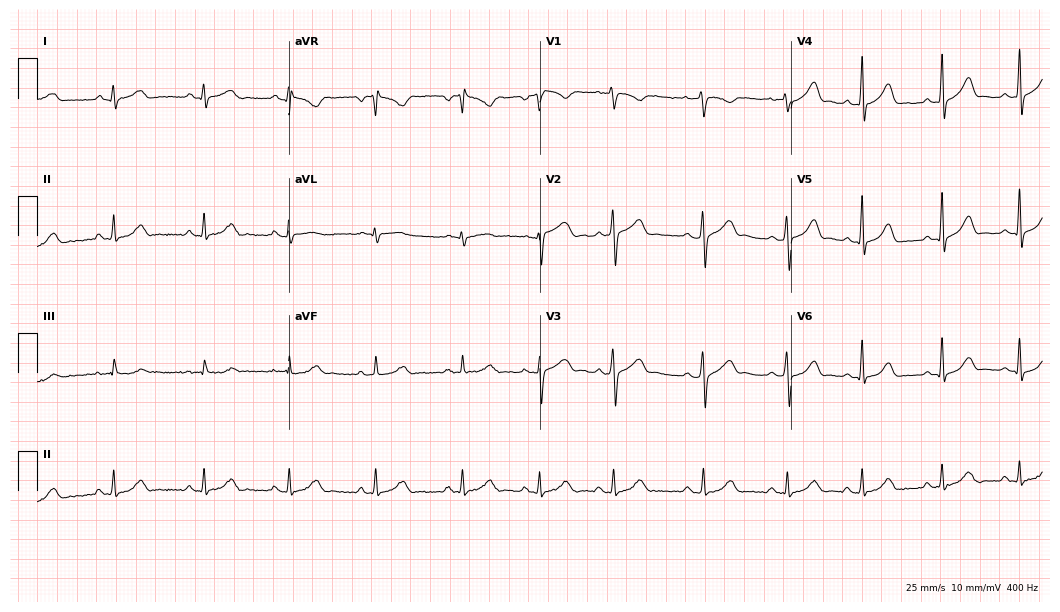
12-lead ECG from a woman, 25 years old (10.2-second recording at 400 Hz). Recorded interpretation: within normal limits.